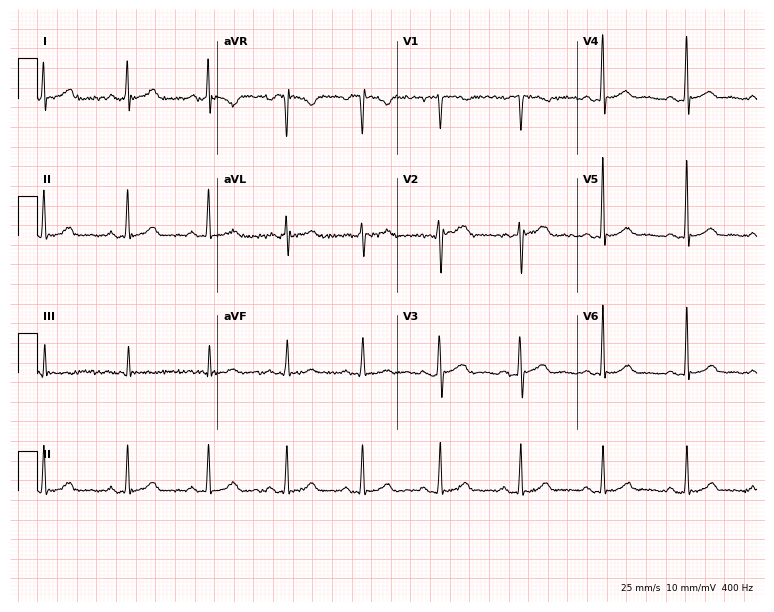
12-lead ECG from a male patient, 38 years old (7.3-second recording at 400 Hz). Recorded interpretation: within normal limits.